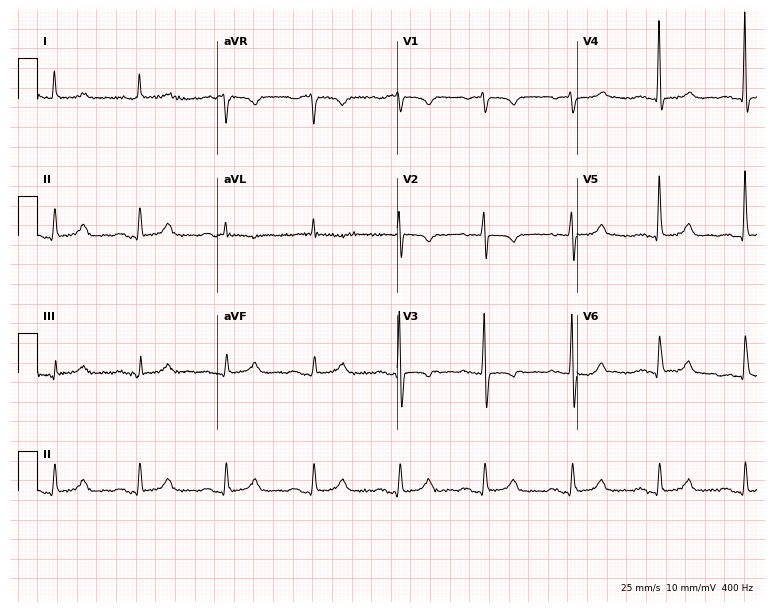
Resting 12-lead electrocardiogram (7.3-second recording at 400 Hz). Patient: a 72-year-old female. Read as a normal ECG.